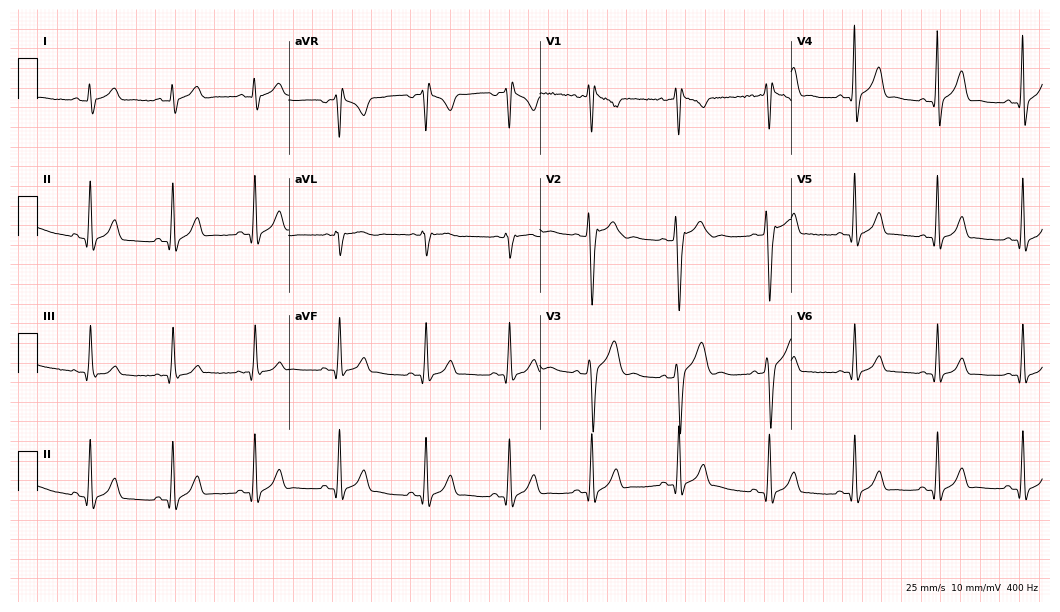
Electrocardiogram, a man, 26 years old. Of the six screened findings (first-degree AV block, right bundle branch block, left bundle branch block, sinus bradycardia, atrial fibrillation, sinus tachycardia), none is recorded.